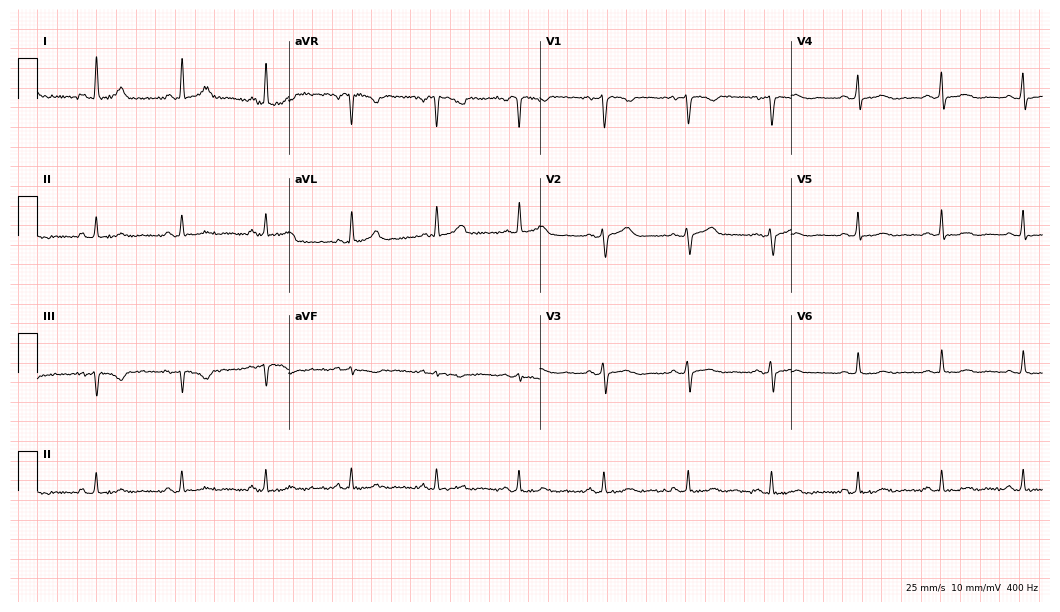
Resting 12-lead electrocardiogram. Patient: a 41-year-old female. None of these six findings is recorded: first-degree AV block, right bundle branch block, left bundle branch block, sinus bradycardia, atrial fibrillation, sinus tachycardia. Findings outside these six are not listed.